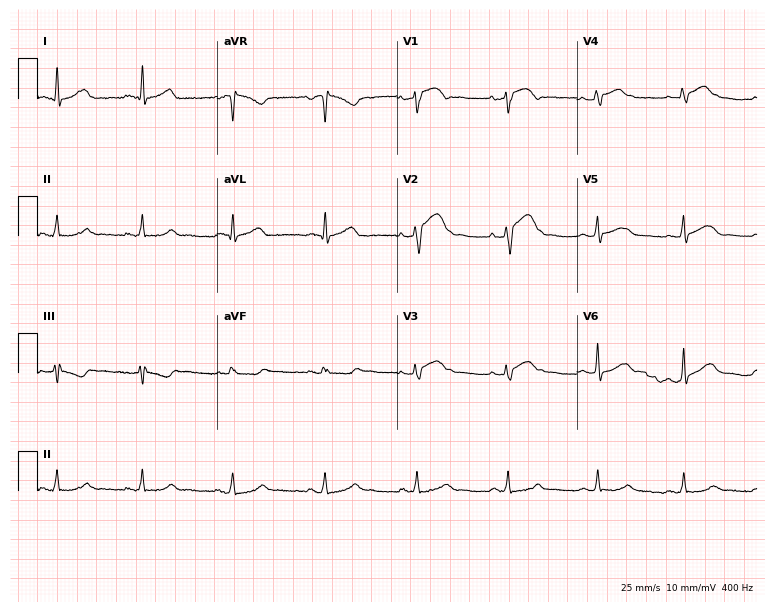
Resting 12-lead electrocardiogram. Patient: a woman, 41 years old. None of these six findings is recorded: first-degree AV block, right bundle branch block (RBBB), left bundle branch block (LBBB), sinus bradycardia, atrial fibrillation (AF), sinus tachycardia.